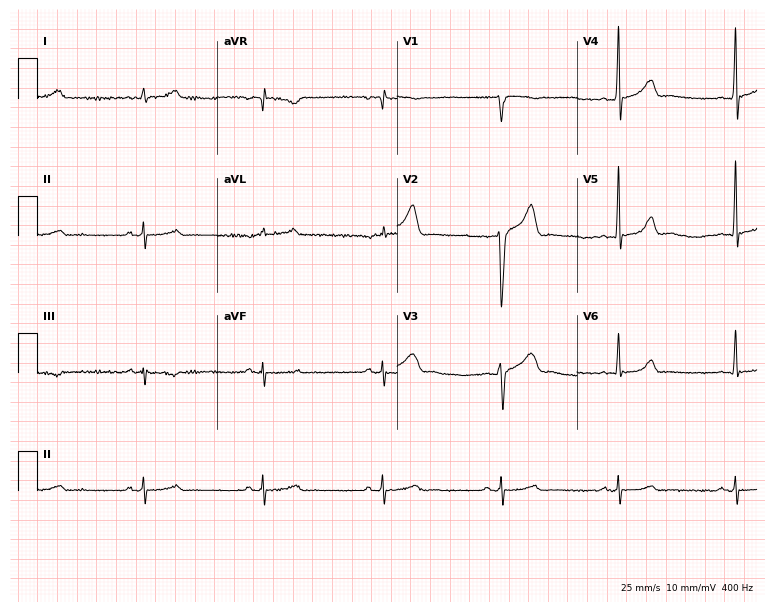
Resting 12-lead electrocardiogram (7.3-second recording at 400 Hz). Patient: a 61-year-old male. None of these six findings is recorded: first-degree AV block, right bundle branch block, left bundle branch block, sinus bradycardia, atrial fibrillation, sinus tachycardia.